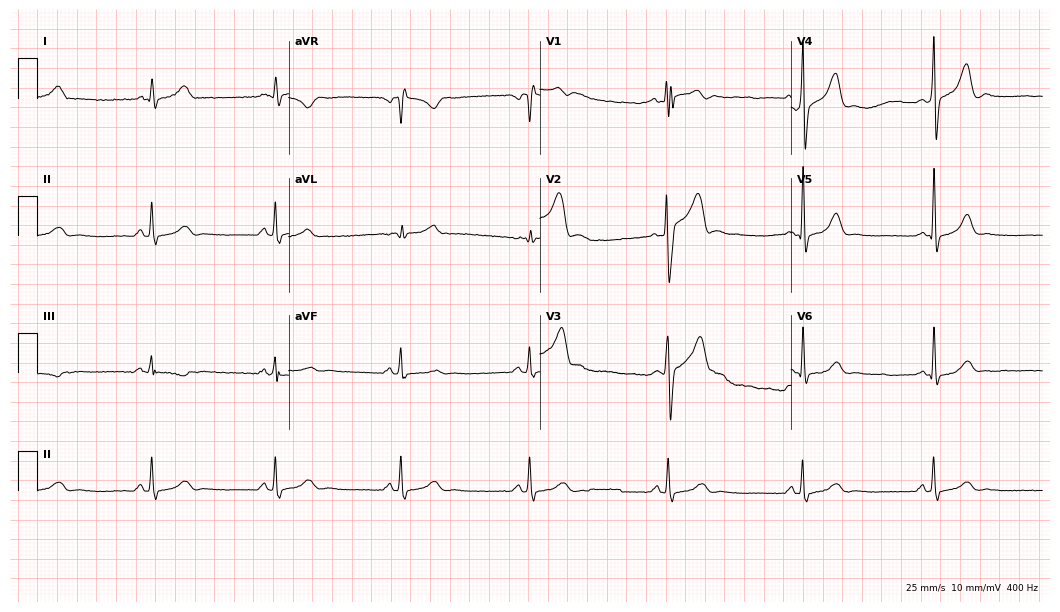
ECG — a male patient, 48 years old. Screened for six findings — first-degree AV block, right bundle branch block, left bundle branch block, sinus bradycardia, atrial fibrillation, sinus tachycardia — none is recorded. Other findings, if any, are not listed.